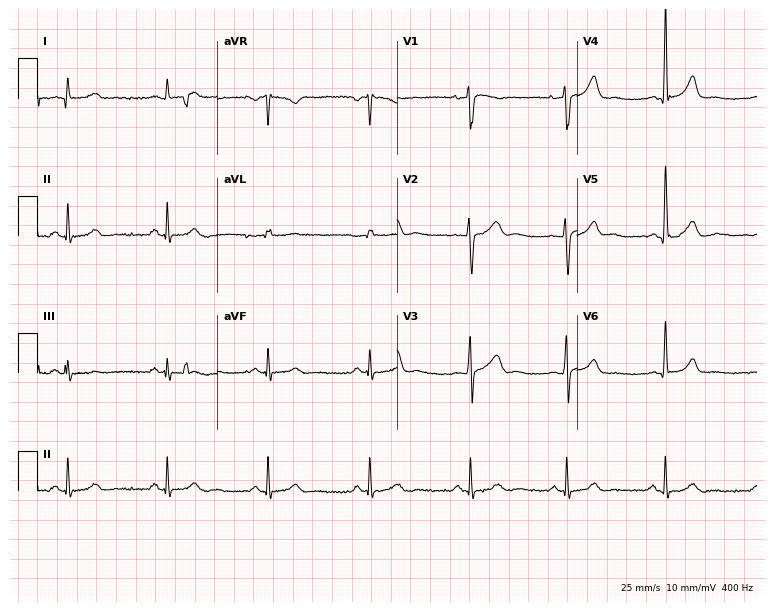
12-lead ECG (7.3-second recording at 400 Hz) from a 59-year-old male. Screened for six findings — first-degree AV block, right bundle branch block, left bundle branch block, sinus bradycardia, atrial fibrillation, sinus tachycardia — none is recorded. Other findings, if any, are not listed.